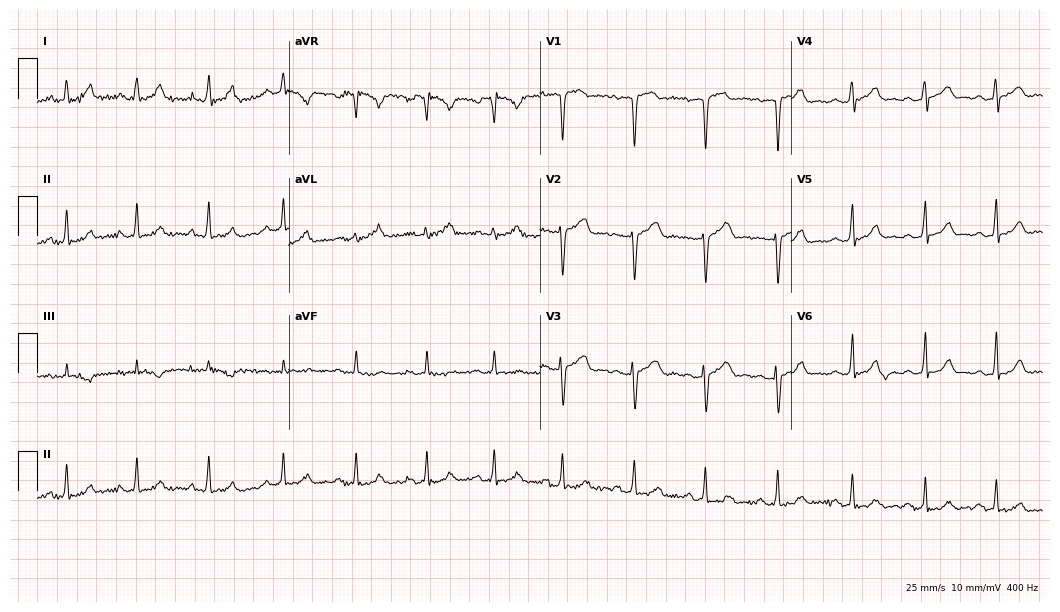
Standard 12-lead ECG recorded from a 21-year-old female patient. Read as a normal ECG.